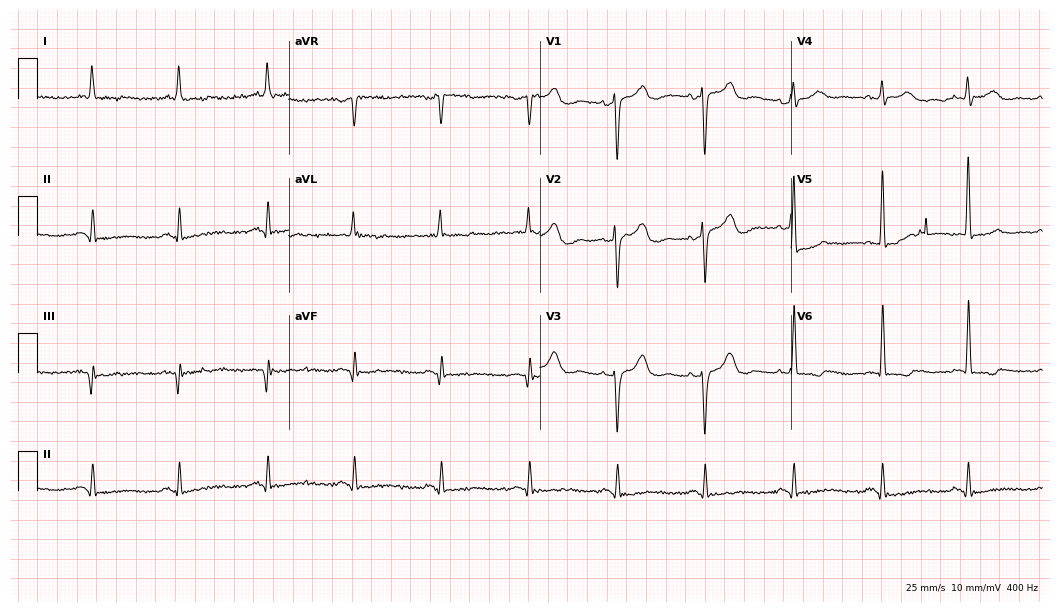
12-lead ECG from a 65-year-old female. Screened for six findings — first-degree AV block, right bundle branch block, left bundle branch block, sinus bradycardia, atrial fibrillation, sinus tachycardia — none is recorded.